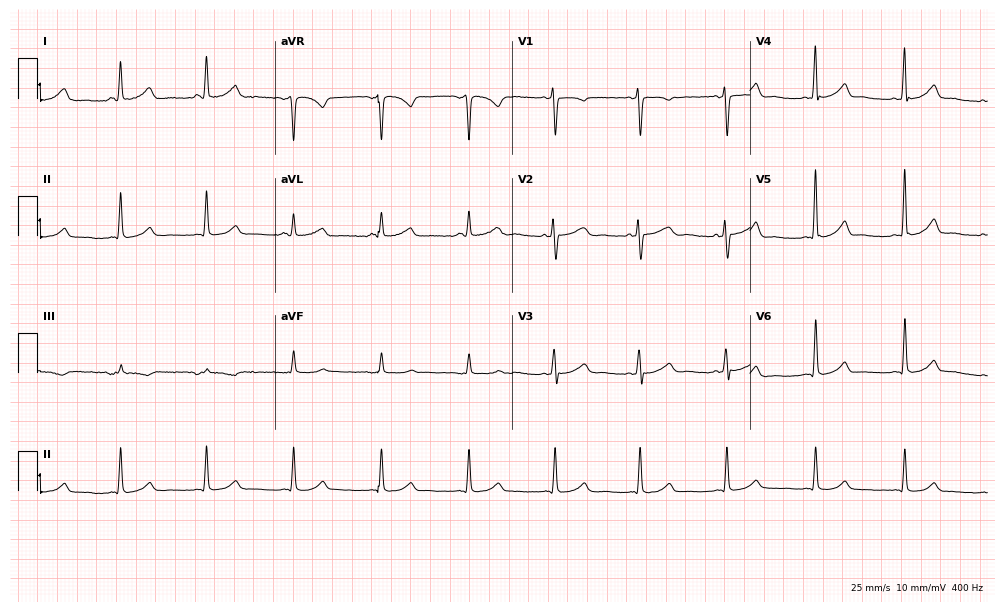
ECG — a female patient, 53 years old. Labelled as a normal ECG.